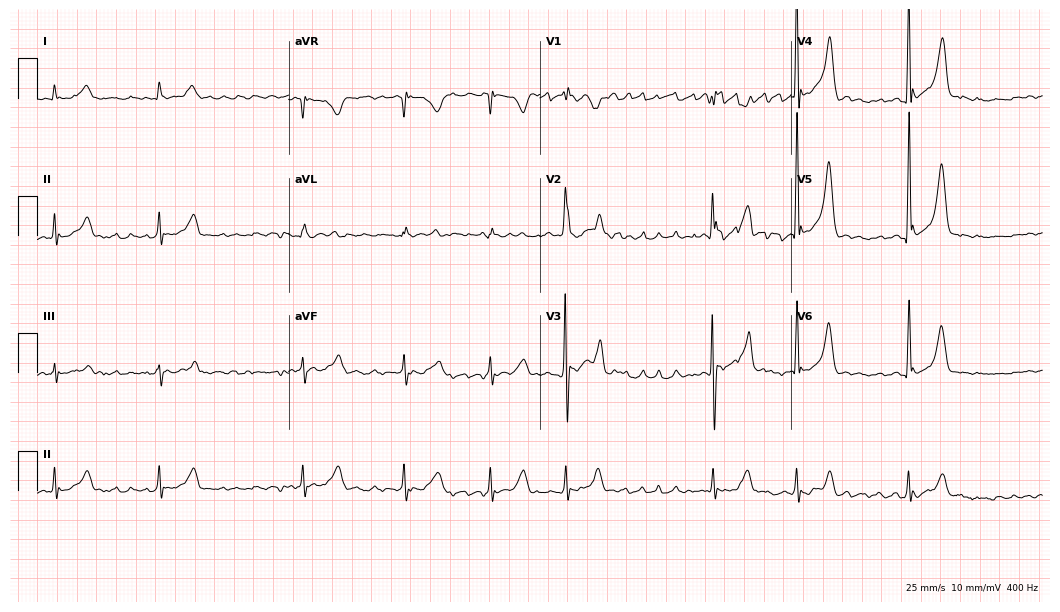
Standard 12-lead ECG recorded from a 41-year-old male (10.2-second recording at 400 Hz). The tracing shows atrial fibrillation.